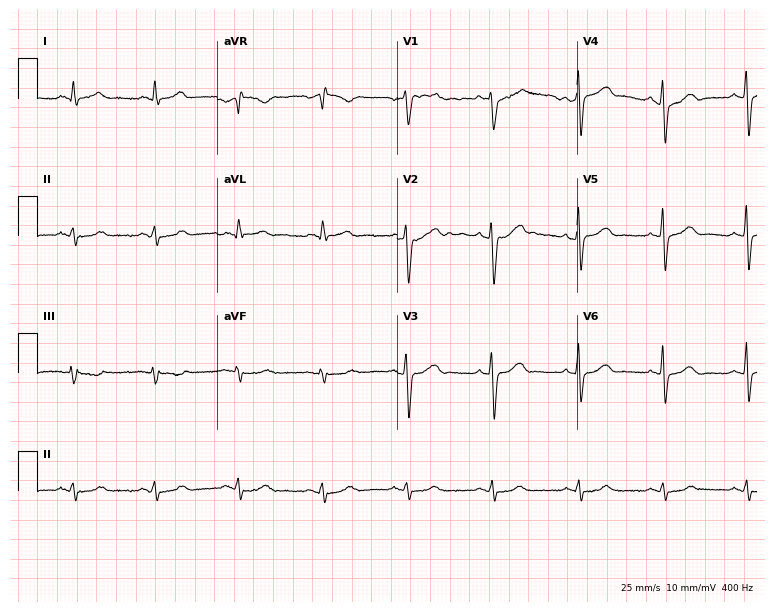
12-lead ECG from a 48-year-old female patient (7.3-second recording at 400 Hz). No first-degree AV block, right bundle branch block, left bundle branch block, sinus bradycardia, atrial fibrillation or sinus tachycardia recorded for this tracing. Only these six findings were labelled.